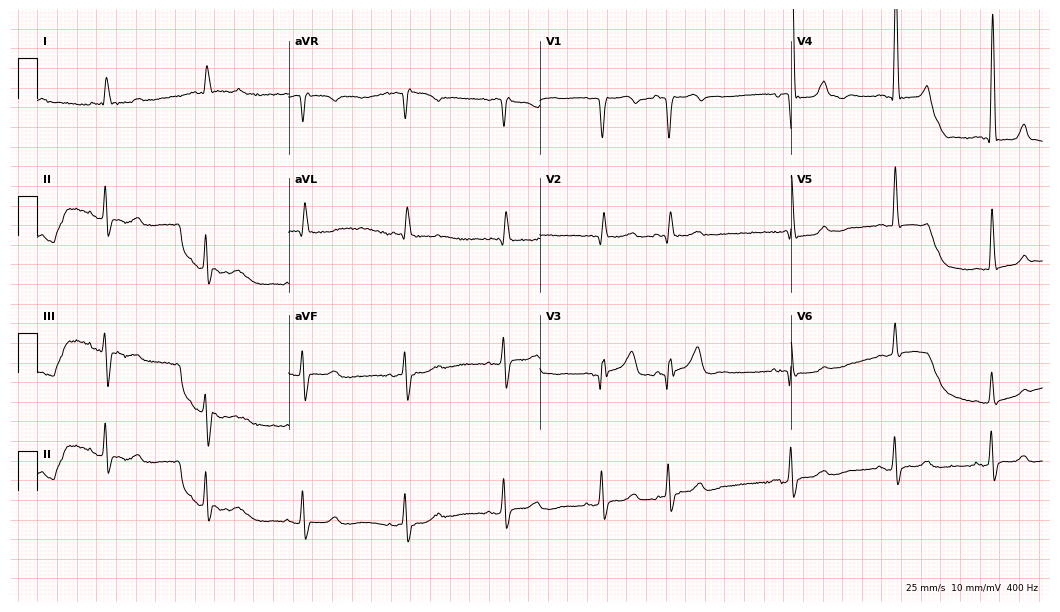
ECG — a woman, 82 years old. Screened for six findings — first-degree AV block, right bundle branch block, left bundle branch block, sinus bradycardia, atrial fibrillation, sinus tachycardia — none is recorded. Other findings, if any, are not listed.